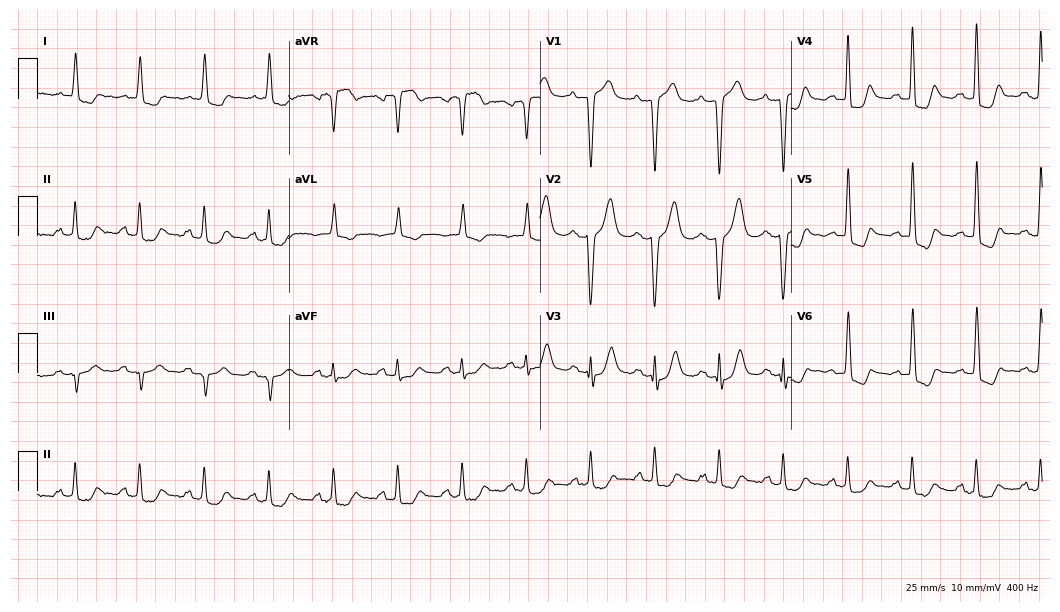
Electrocardiogram, a 79-year-old female patient. Overall reading on record: normal ECG.